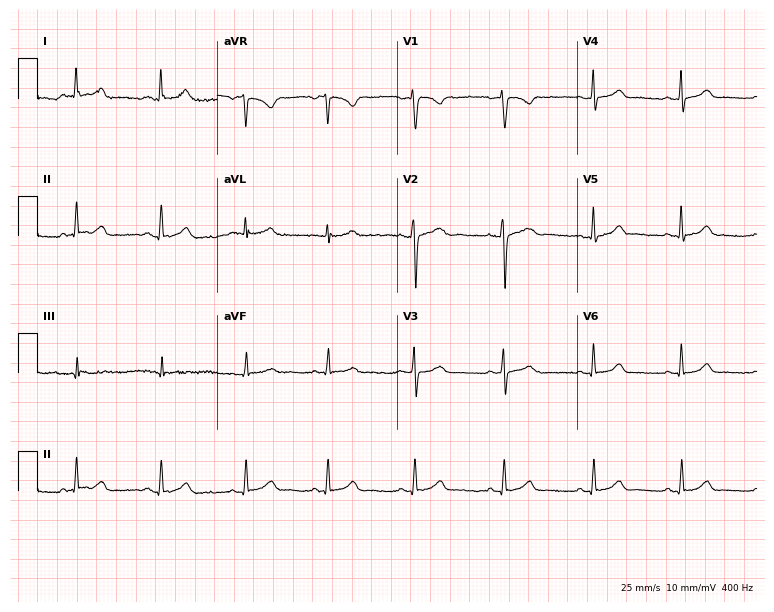
Standard 12-lead ECG recorded from a 29-year-old female (7.3-second recording at 400 Hz). None of these six findings is recorded: first-degree AV block, right bundle branch block (RBBB), left bundle branch block (LBBB), sinus bradycardia, atrial fibrillation (AF), sinus tachycardia. Other findings, if any, are not listed.